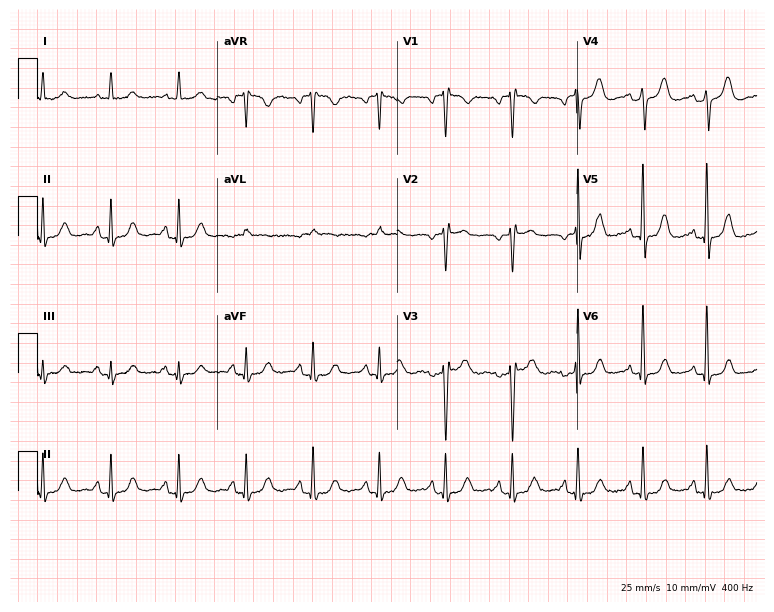
ECG — a 72-year-old female. Screened for six findings — first-degree AV block, right bundle branch block, left bundle branch block, sinus bradycardia, atrial fibrillation, sinus tachycardia — none is recorded.